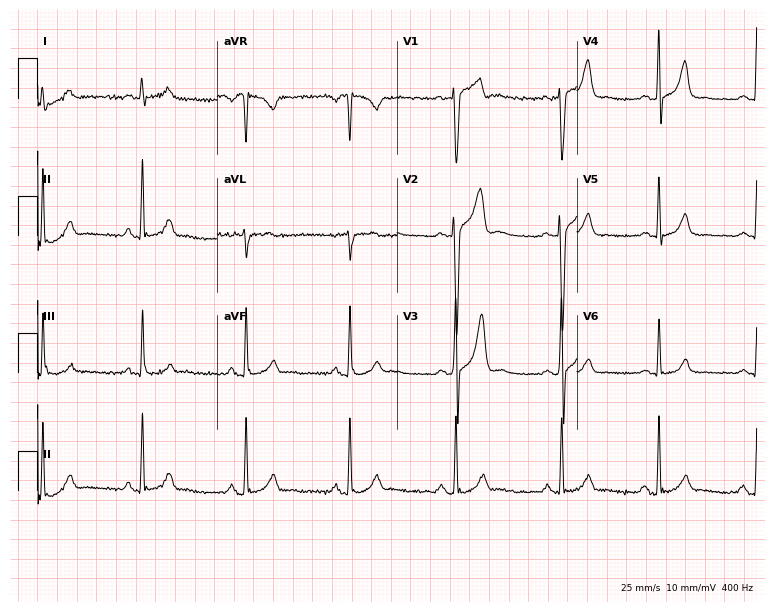
Electrocardiogram (7.3-second recording at 400 Hz), a male patient, 22 years old. Overall reading on record: normal ECG.